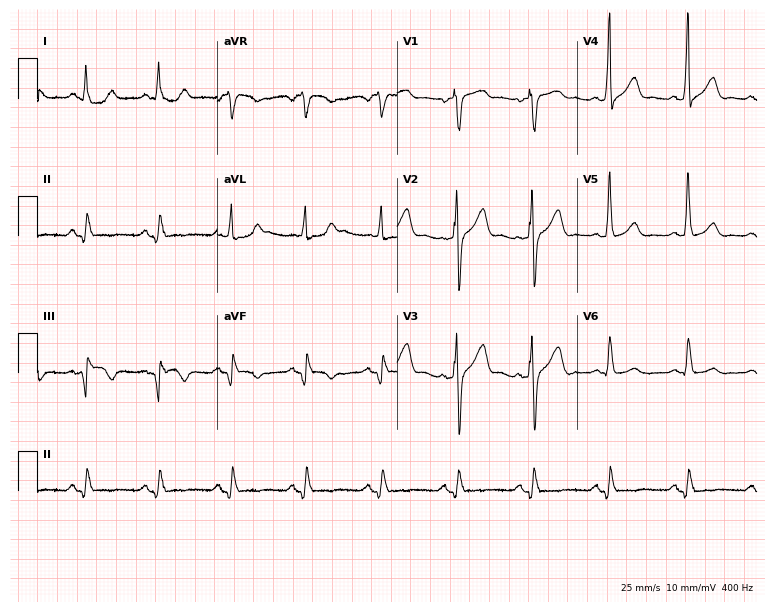
ECG (7.3-second recording at 400 Hz) — a male, 67 years old. Screened for six findings — first-degree AV block, right bundle branch block, left bundle branch block, sinus bradycardia, atrial fibrillation, sinus tachycardia — none is recorded. Findings outside these six are not listed.